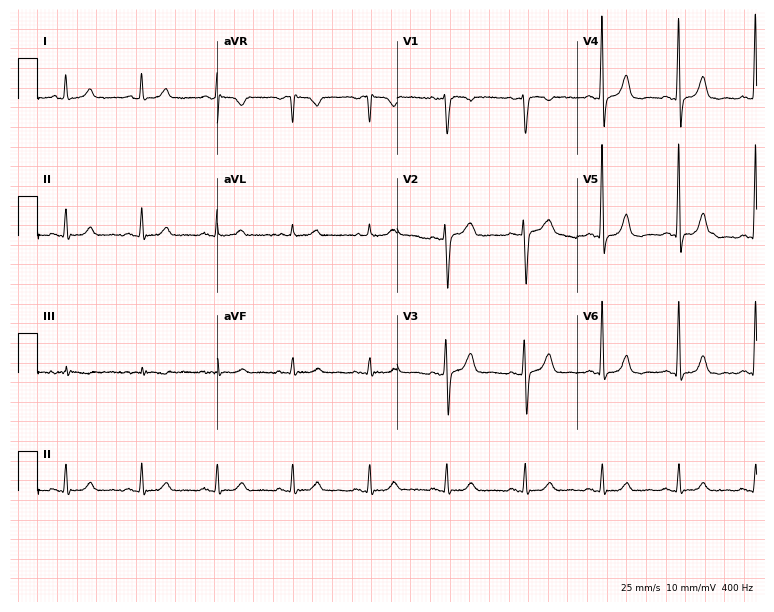
12-lead ECG from a female patient, 52 years old (7.3-second recording at 400 Hz). Recorded interpretation: within normal limits.